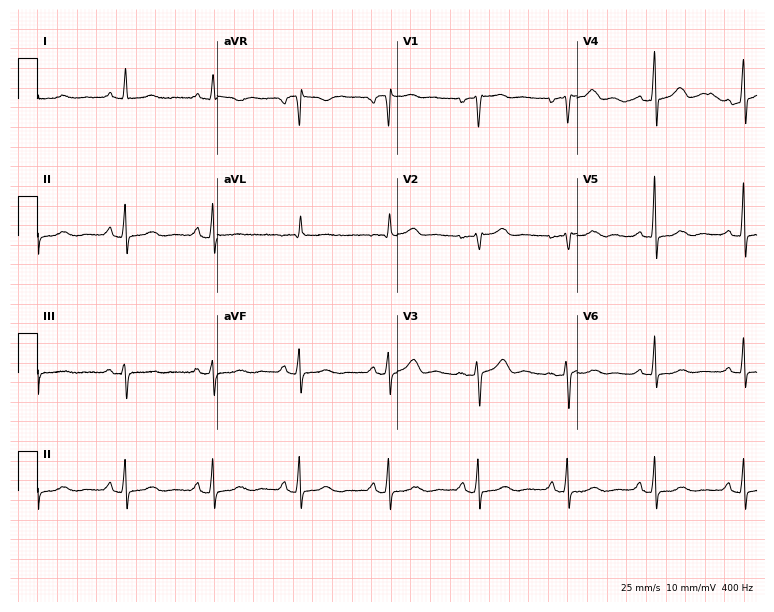
12-lead ECG from a 64-year-old female. No first-degree AV block, right bundle branch block, left bundle branch block, sinus bradycardia, atrial fibrillation or sinus tachycardia recorded for this tracing.